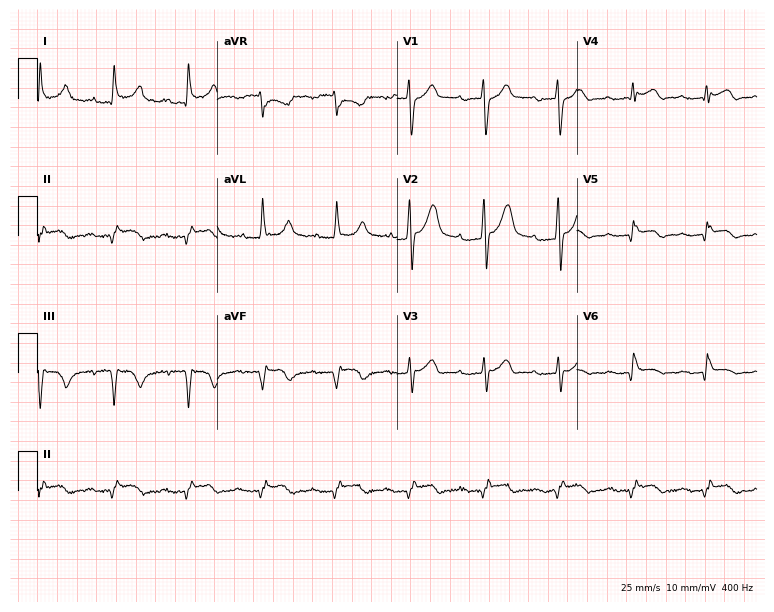
Resting 12-lead electrocardiogram. Patient: a man, 66 years old. None of these six findings is recorded: first-degree AV block, right bundle branch block, left bundle branch block, sinus bradycardia, atrial fibrillation, sinus tachycardia.